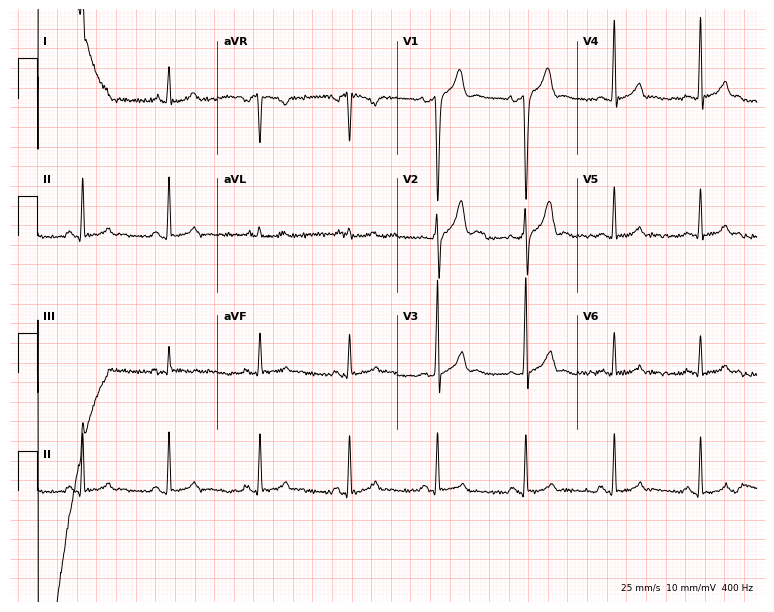
12-lead ECG (7.3-second recording at 400 Hz) from a male, 32 years old. Screened for six findings — first-degree AV block, right bundle branch block, left bundle branch block, sinus bradycardia, atrial fibrillation, sinus tachycardia — none is recorded.